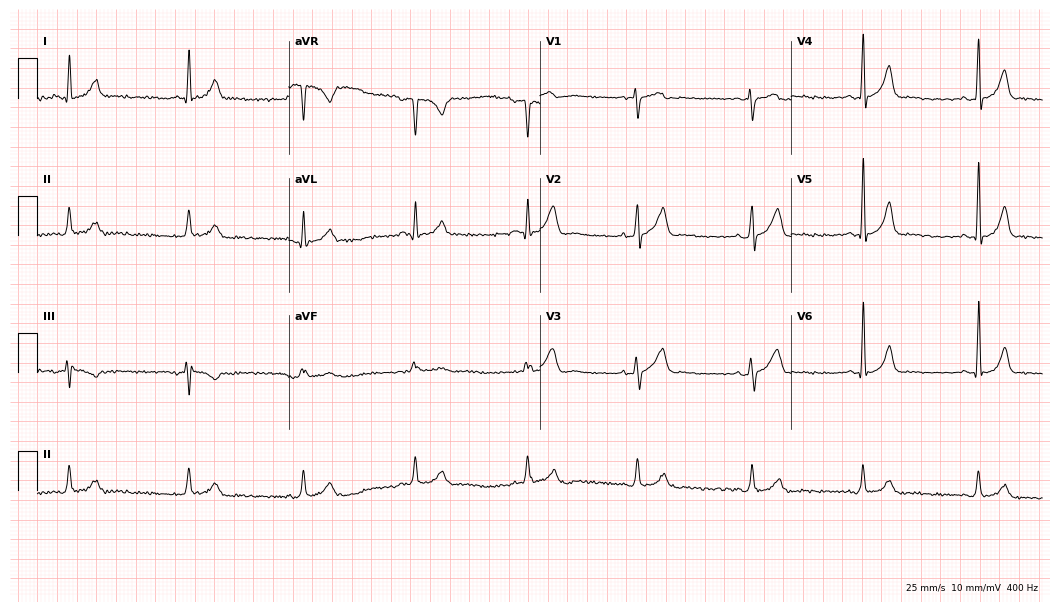
Electrocardiogram, a 40-year-old male. Overall reading on record: normal ECG.